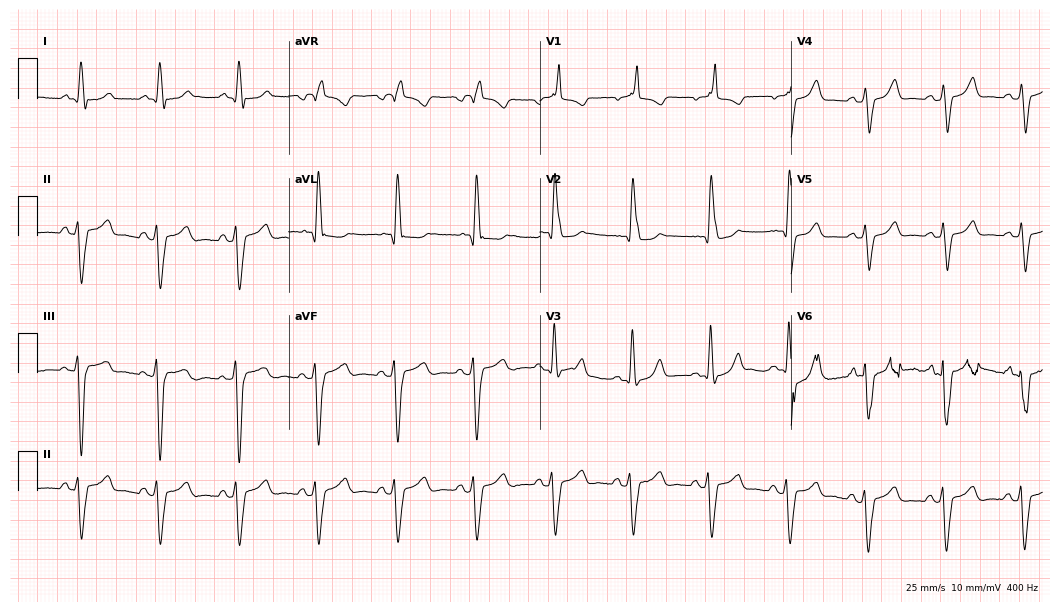
Standard 12-lead ECG recorded from a 66-year-old female (10.2-second recording at 400 Hz). The tracing shows right bundle branch block.